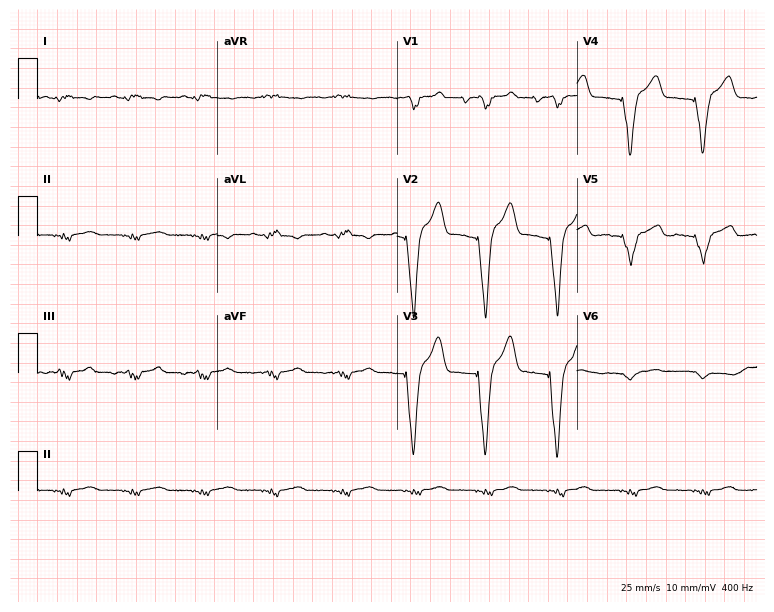
Electrocardiogram, a 35-year-old woman. Of the six screened findings (first-degree AV block, right bundle branch block (RBBB), left bundle branch block (LBBB), sinus bradycardia, atrial fibrillation (AF), sinus tachycardia), none is recorded. Findings outside these six are not listed.